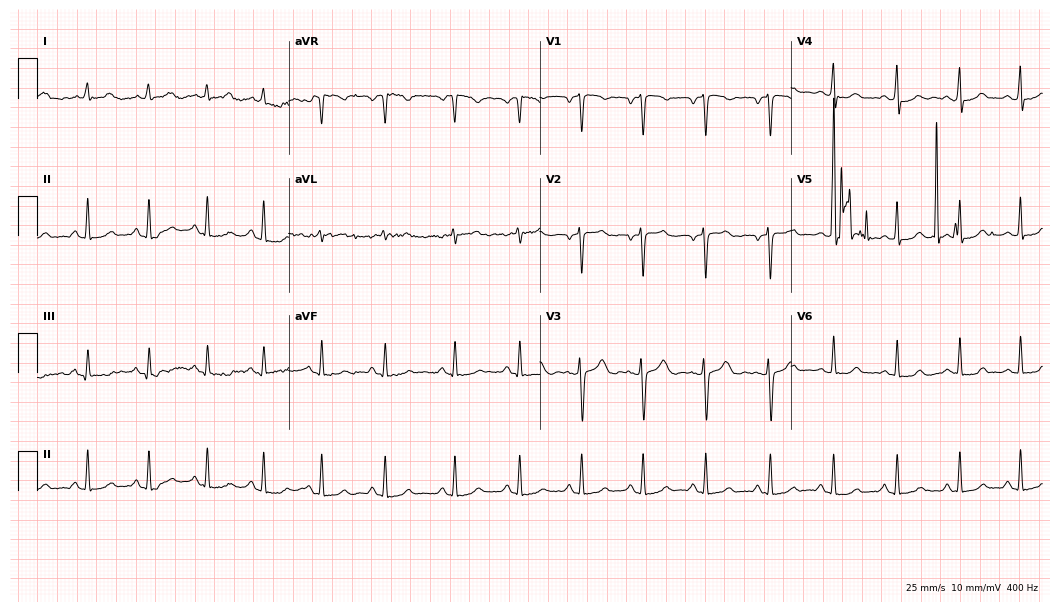
Resting 12-lead electrocardiogram (10.2-second recording at 400 Hz). Patient: a woman, 25 years old. None of these six findings is recorded: first-degree AV block, right bundle branch block, left bundle branch block, sinus bradycardia, atrial fibrillation, sinus tachycardia. Findings outside these six are not listed.